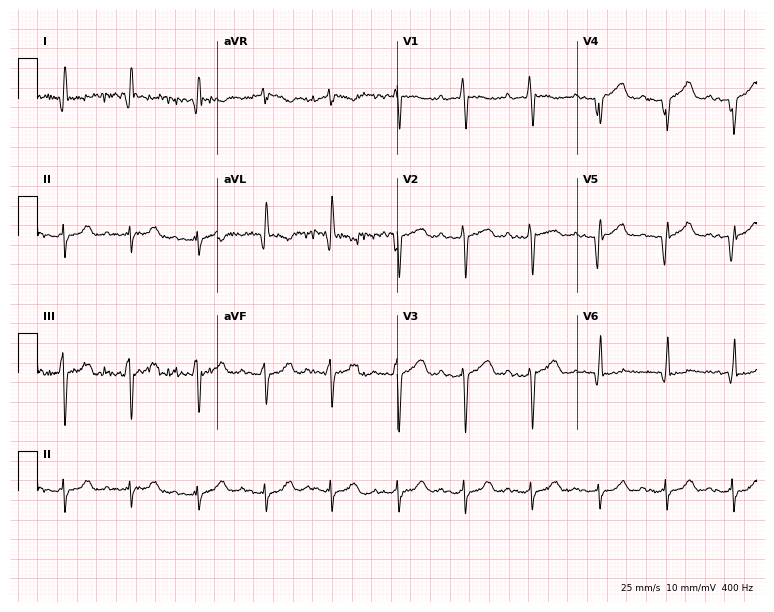
Electrocardiogram, a 77-year-old man. Interpretation includes first-degree AV block.